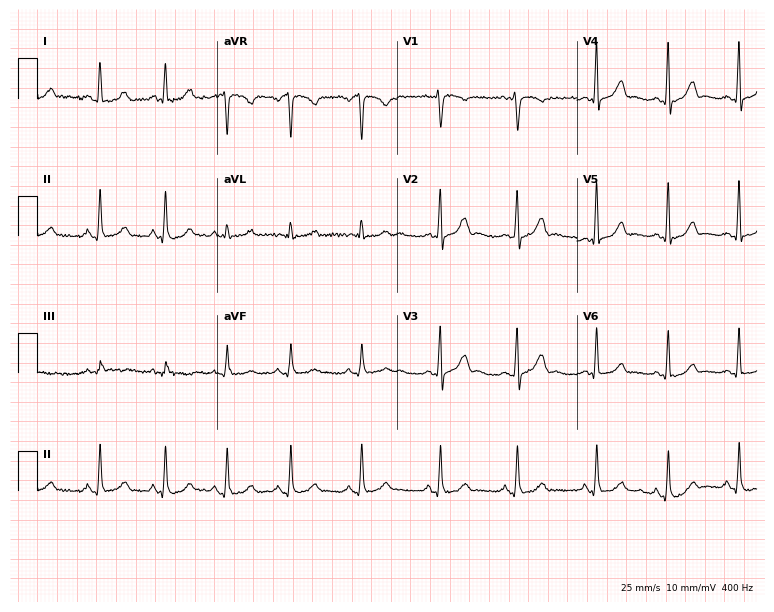
Electrocardiogram (7.3-second recording at 400 Hz), a female, 19 years old. Overall reading on record: normal ECG.